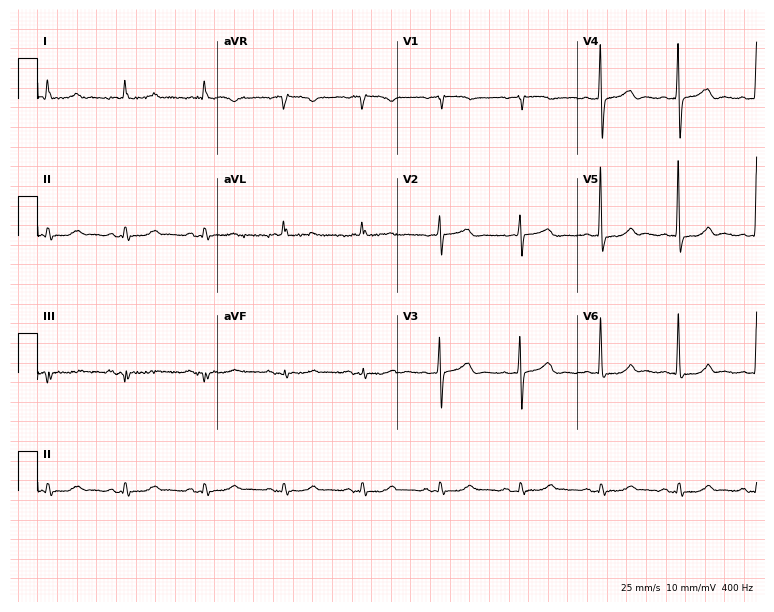
ECG — a female, 83 years old. Screened for six findings — first-degree AV block, right bundle branch block, left bundle branch block, sinus bradycardia, atrial fibrillation, sinus tachycardia — none is recorded.